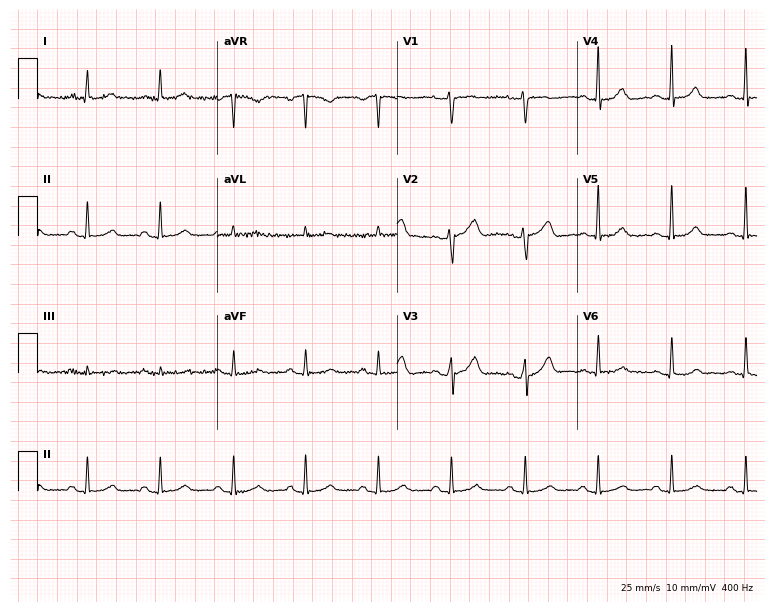
12-lead ECG from a 55-year-old woman. Recorded interpretation: within normal limits.